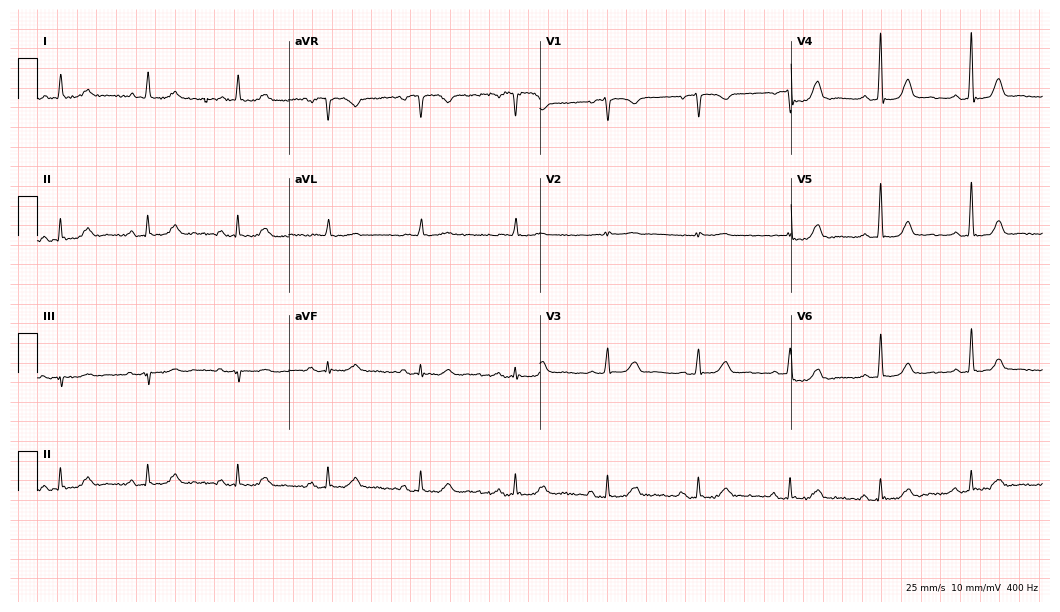
Standard 12-lead ECG recorded from a woman, 58 years old. None of these six findings is recorded: first-degree AV block, right bundle branch block (RBBB), left bundle branch block (LBBB), sinus bradycardia, atrial fibrillation (AF), sinus tachycardia. Only these six findings were labelled.